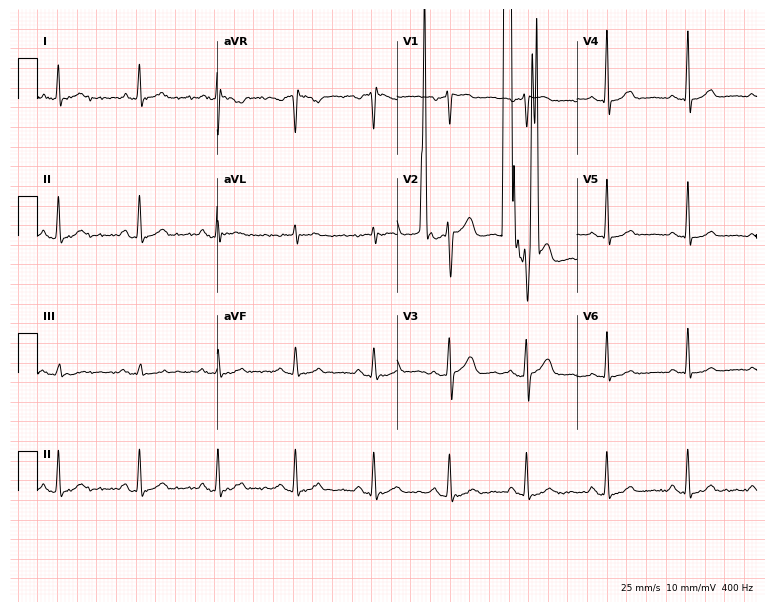
12-lead ECG from a 43-year-old man. No first-degree AV block, right bundle branch block (RBBB), left bundle branch block (LBBB), sinus bradycardia, atrial fibrillation (AF) or sinus tachycardia recorded for this tracing. Other findings, if any, are not listed.